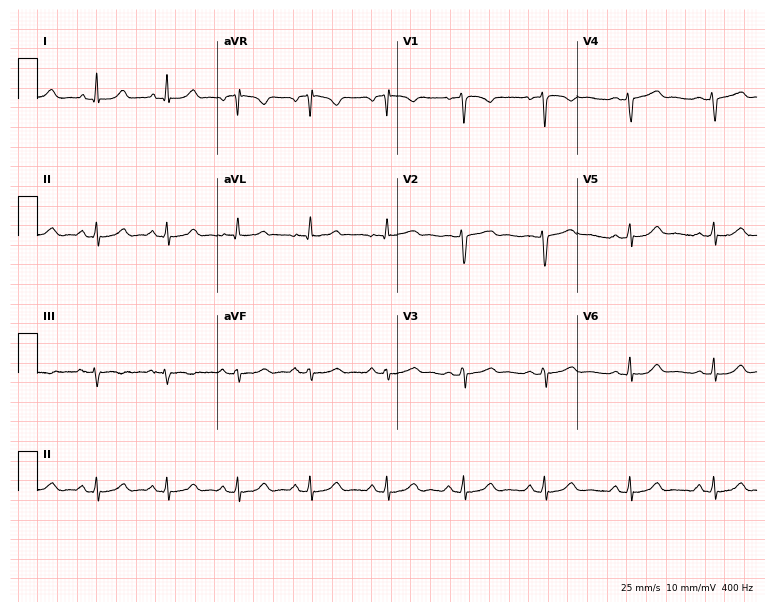
12-lead ECG from a 27-year-old woman (7.3-second recording at 400 Hz). Recorded interpretation: within normal limits.